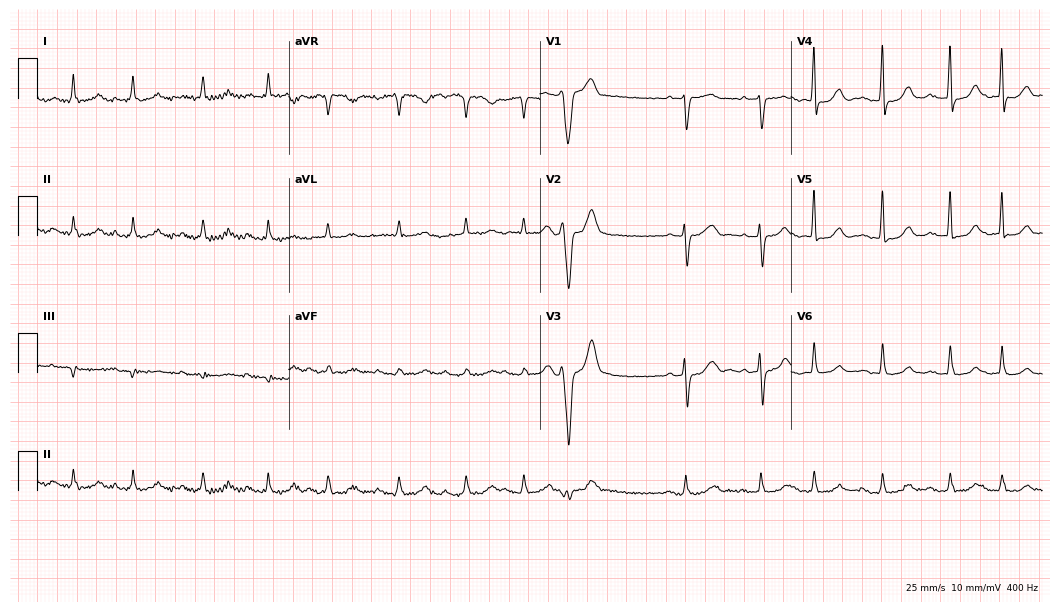
Resting 12-lead electrocardiogram (10.2-second recording at 400 Hz). Patient: an 85-year-old female. None of these six findings is recorded: first-degree AV block, right bundle branch block, left bundle branch block, sinus bradycardia, atrial fibrillation, sinus tachycardia.